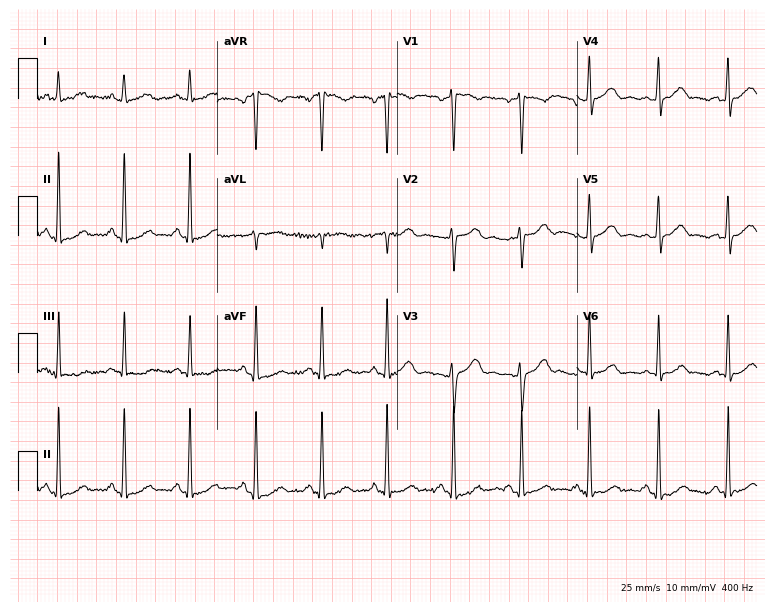
12-lead ECG from a 38-year-old female patient. Recorded interpretation: within normal limits.